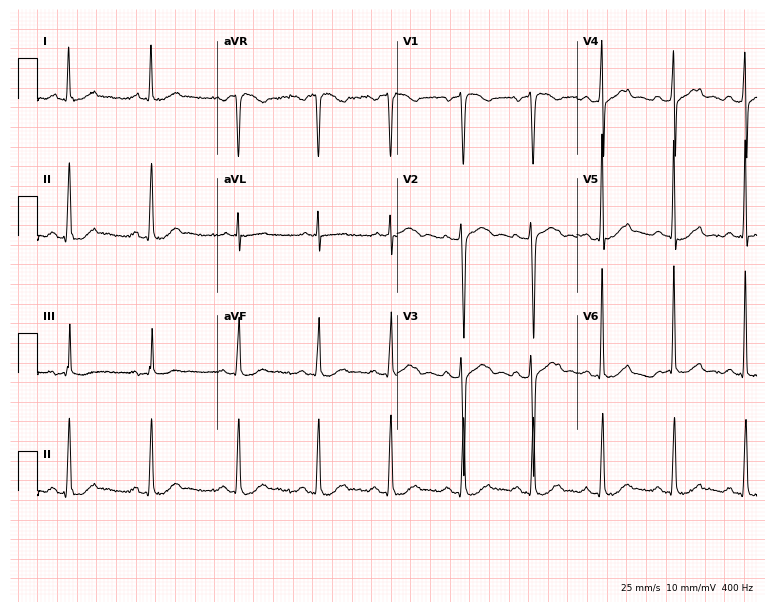
Resting 12-lead electrocardiogram (7.3-second recording at 400 Hz). Patient: a 69-year-old male. None of these six findings is recorded: first-degree AV block, right bundle branch block, left bundle branch block, sinus bradycardia, atrial fibrillation, sinus tachycardia.